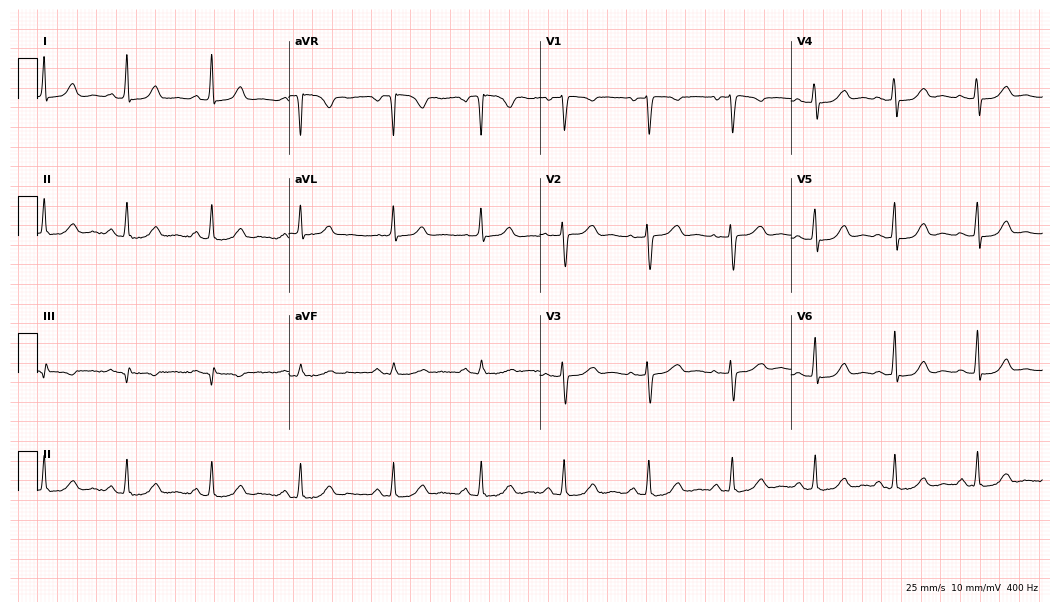
12-lead ECG (10.2-second recording at 400 Hz) from a 38-year-old female. Labelled as a normal ECG.